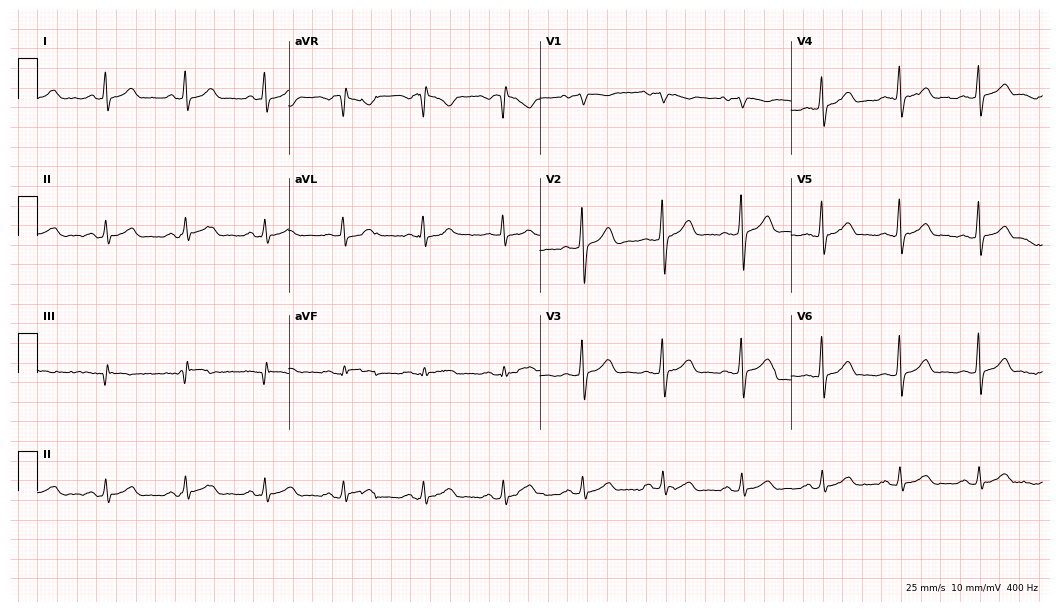
Electrocardiogram, a 39-year-old man. Of the six screened findings (first-degree AV block, right bundle branch block (RBBB), left bundle branch block (LBBB), sinus bradycardia, atrial fibrillation (AF), sinus tachycardia), none is recorded. Only these six findings were labelled.